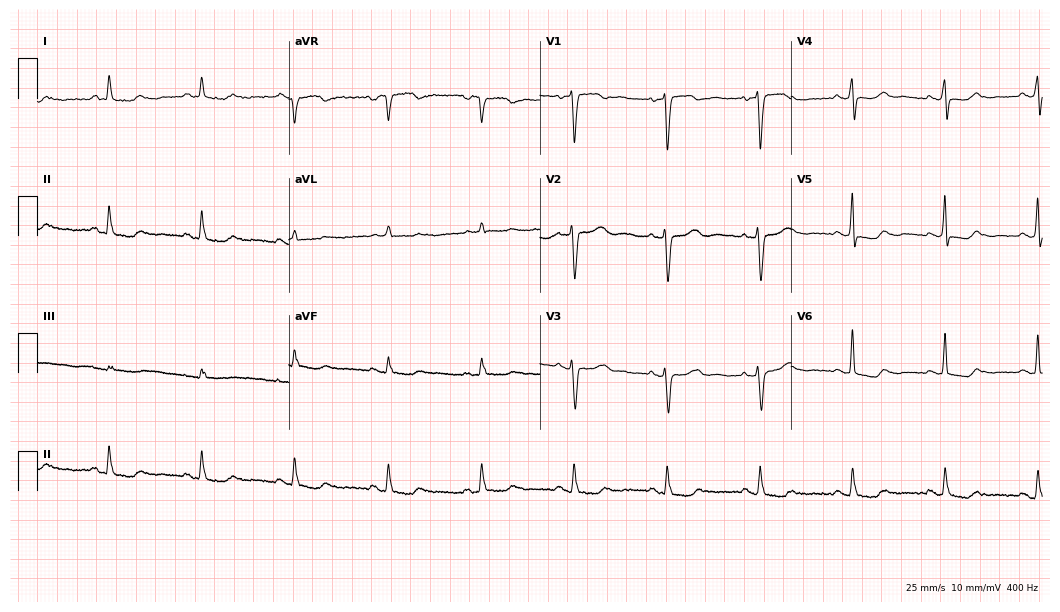
Standard 12-lead ECG recorded from an 81-year-old male patient. None of these six findings is recorded: first-degree AV block, right bundle branch block, left bundle branch block, sinus bradycardia, atrial fibrillation, sinus tachycardia. Other findings, if any, are not listed.